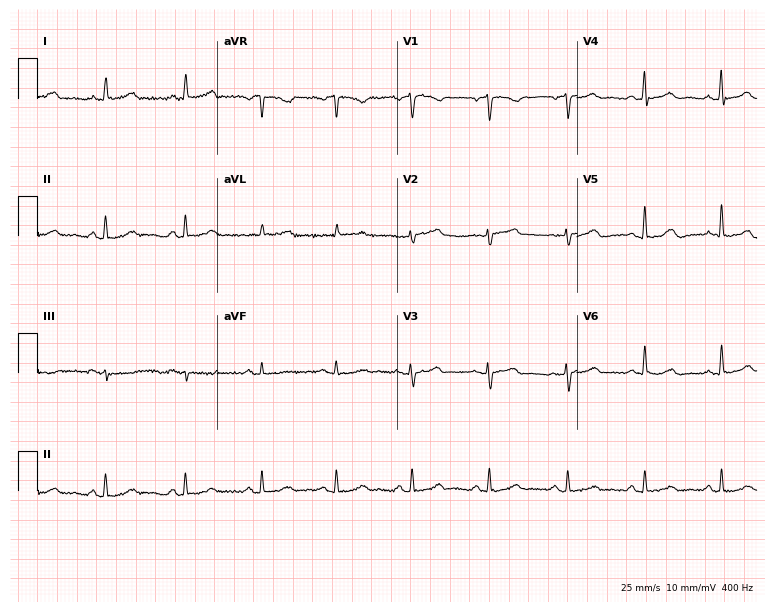
Resting 12-lead electrocardiogram. Patient: a 52-year-old female. None of these six findings is recorded: first-degree AV block, right bundle branch block, left bundle branch block, sinus bradycardia, atrial fibrillation, sinus tachycardia.